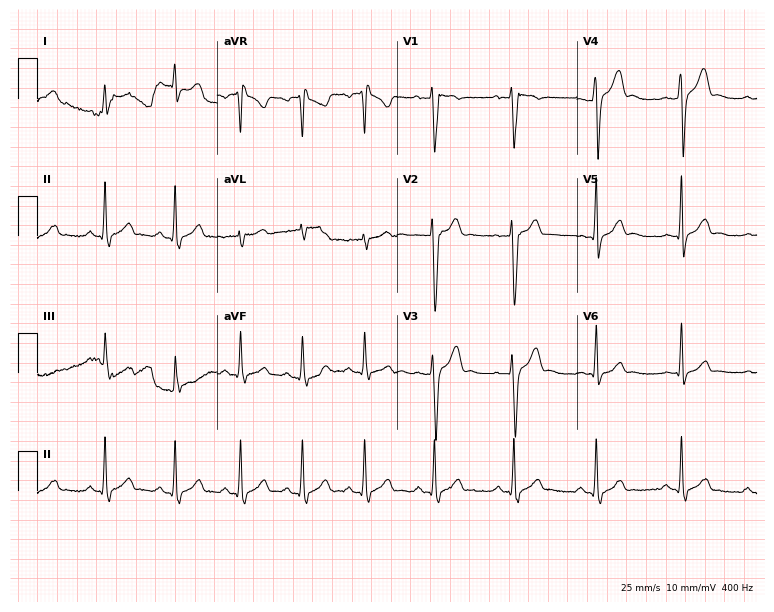
12-lead ECG from a male patient, 22 years old (7.3-second recording at 400 Hz). No first-degree AV block, right bundle branch block, left bundle branch block, sinus bradycardia, atrial fibrillation or sinus tachycardia recorded for this tracing. Only these six findings were labelled.